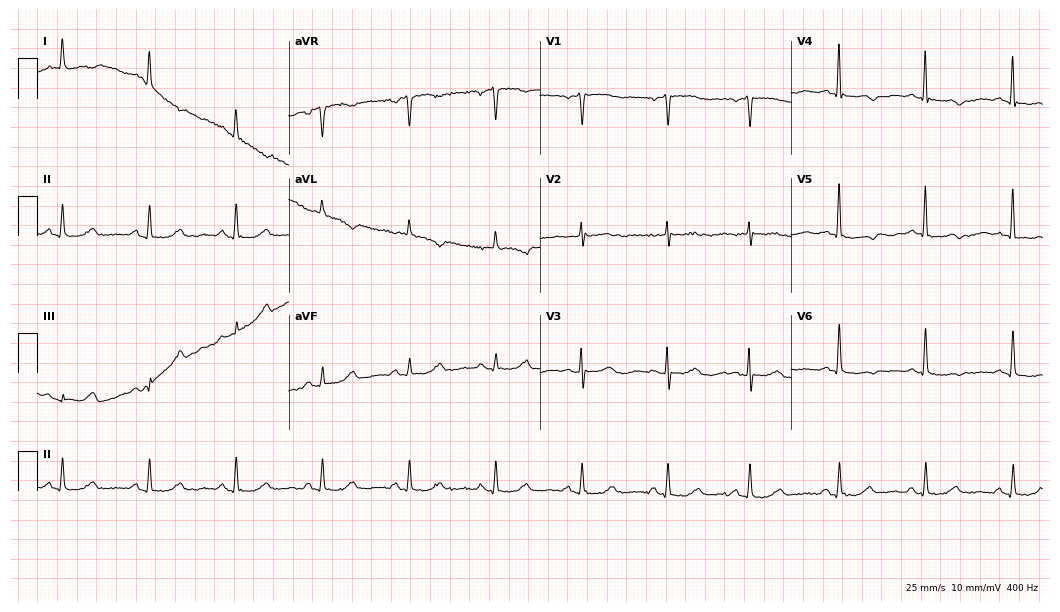
Electrocardiogram, a woman, 78 years old. Of the six screened findings (first-degree AV block, right bundle branch block (RBBB), left bundle branch block (LBBB), sinus bradycardia, atrial fibrillation (AF), sinus tachycardia), none is recorded. Only these six findings were labelled.